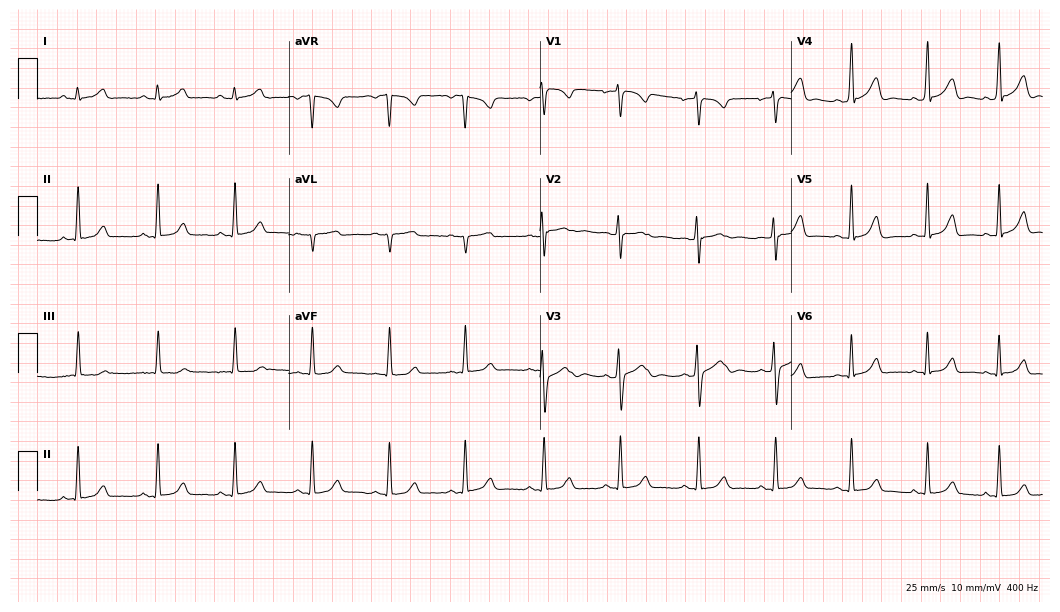
Resting 12-lead electrocardiogram. Patient: a female, 23 years old. Read as a normal ECG.